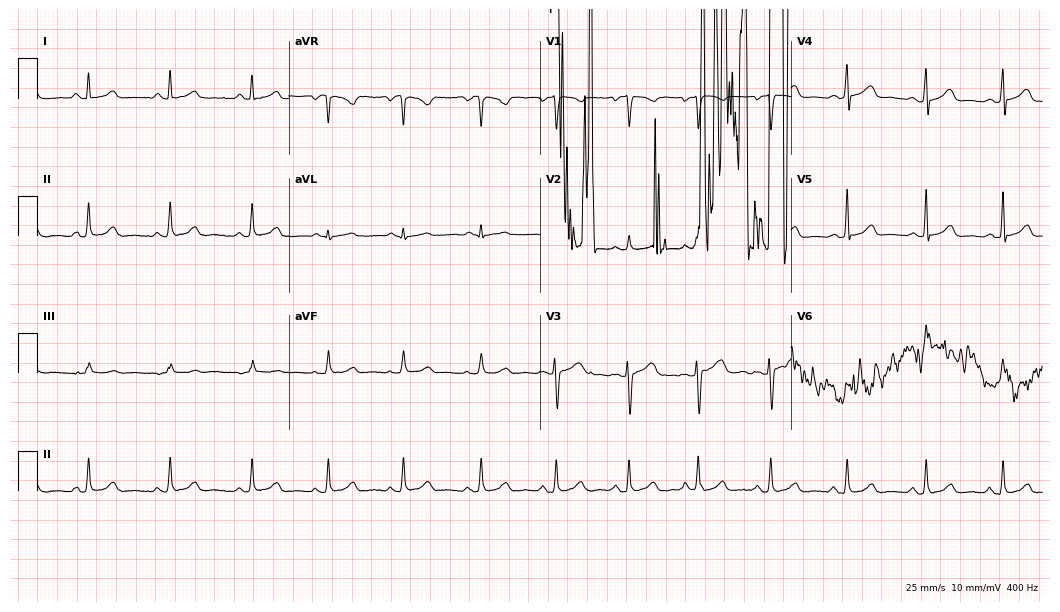
12-lead ECG from a female patient, 21 years old (10.2-second recording at 400 Hz). No first-degree AV block, right bundle branch block (RBBB), left bundle branch block (LBBB), sinus bradycardia, atrial fibrillation (AF) or sinus tachycardia recorded for this tracing.